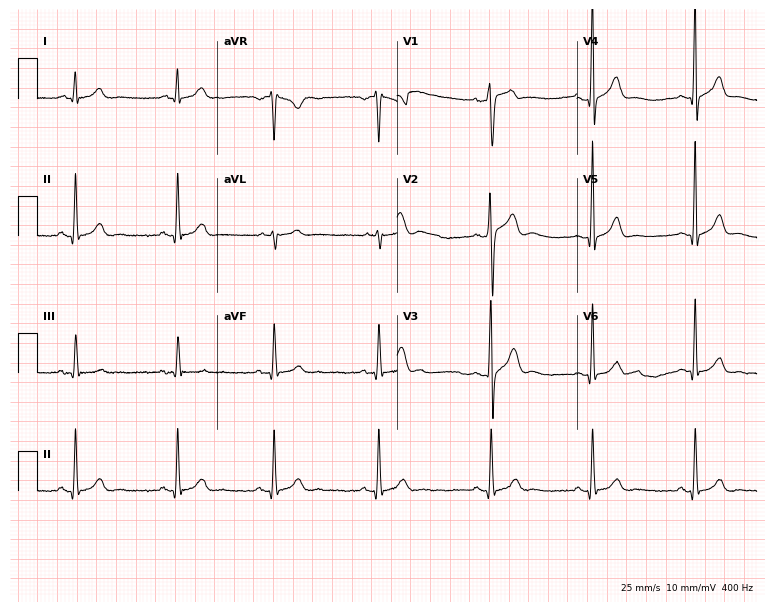
Standard 12-lead ECG recorded from a man, 27 years old (7.3-second recording at 400 Hz). None of these six findings is recorded: first-degree AV block, right bundle branch block (RBBB), left bundle branch block (LBBB), sinus bradycardia, atrial fibrillation (AF), sinus tachycardia.